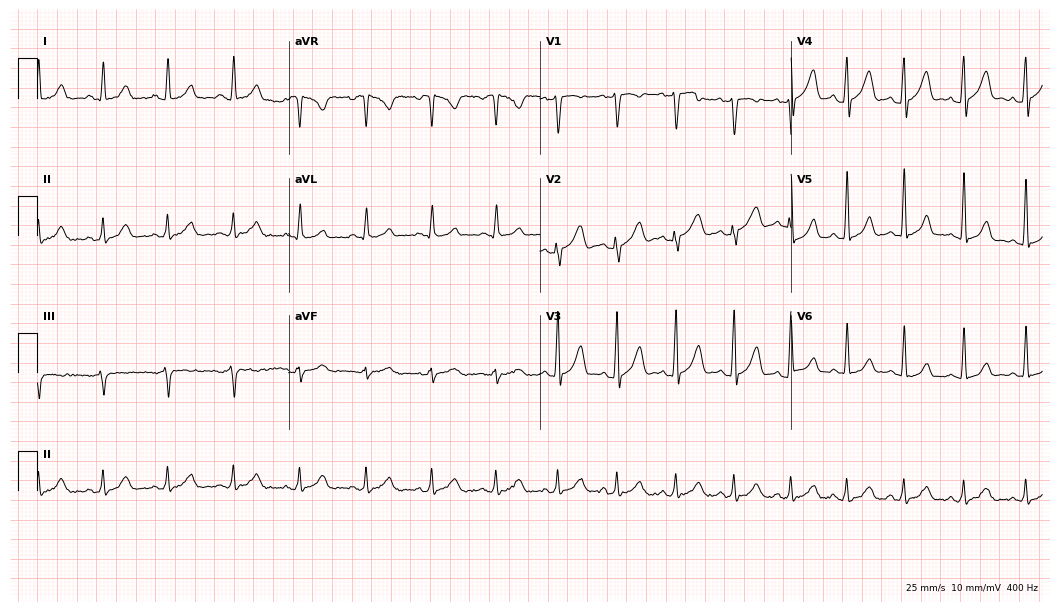
12-lead ECG from a 26-year-old male patient. Screened for six findings — first-degree AV block, right bundle branch block, left bundle branch block, sinus bradycardia, atrial fibrillation, sinus tachycardia — none is recorded.